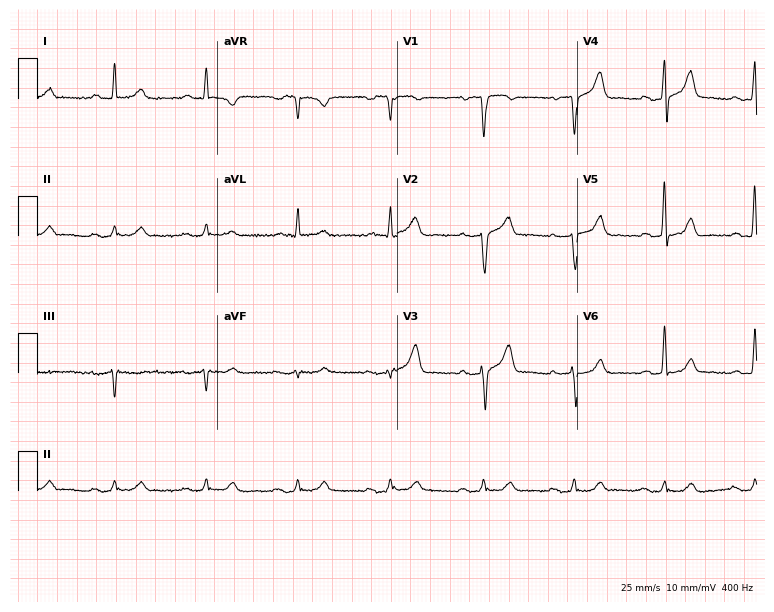
12-lead ECG from a male patient, 64 years old. Labelled as a normal ECG.